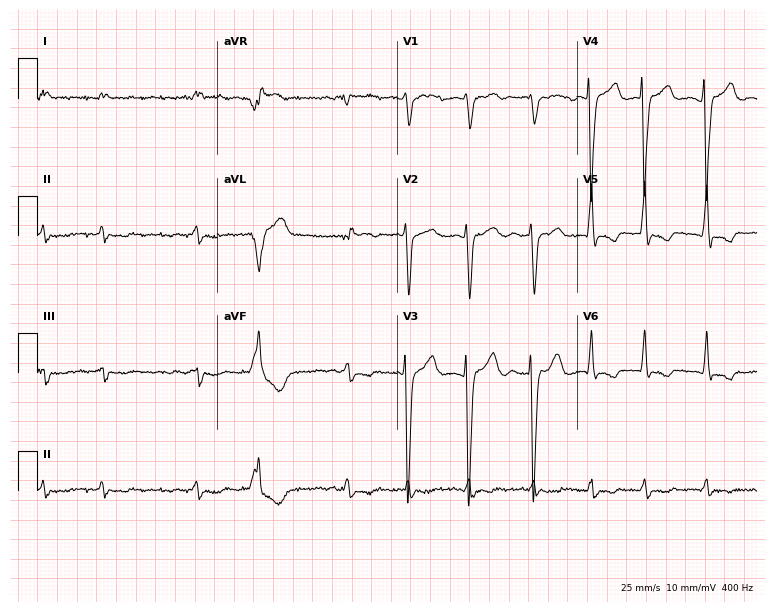
12-lead ECG from a male patient, 53 years old. Shows atrial fibrillation.